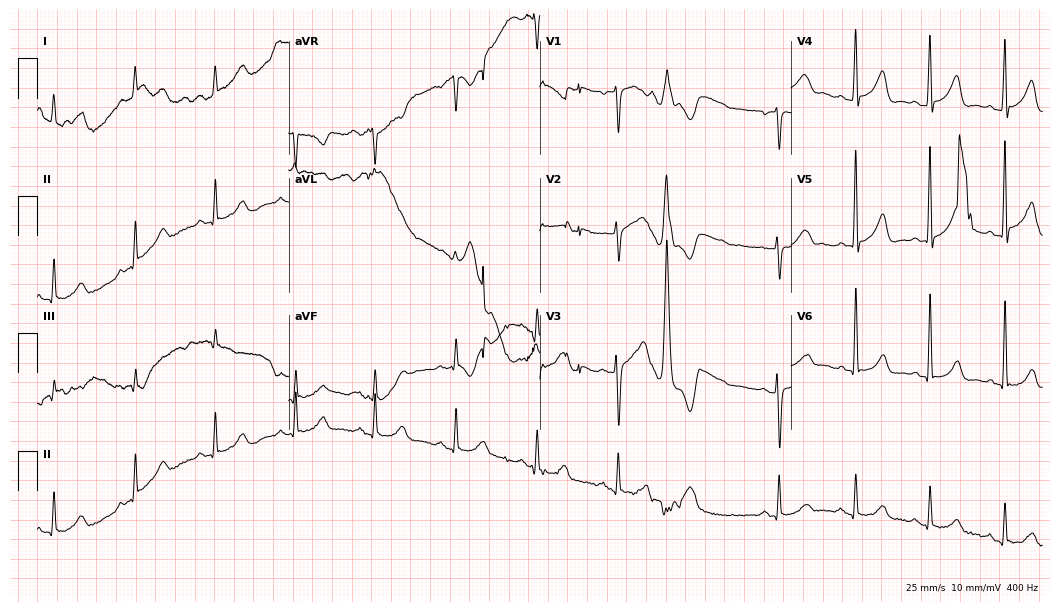
12-lead ECG (10.2-second recording at 400 Hz) from a 69-year-old female. Screened for six findings — first-degree AV block, right bundle branch block, left bundle branch block, sinus bradycardia, atrial fibrillation, sinus tachycardia — none is recorded.